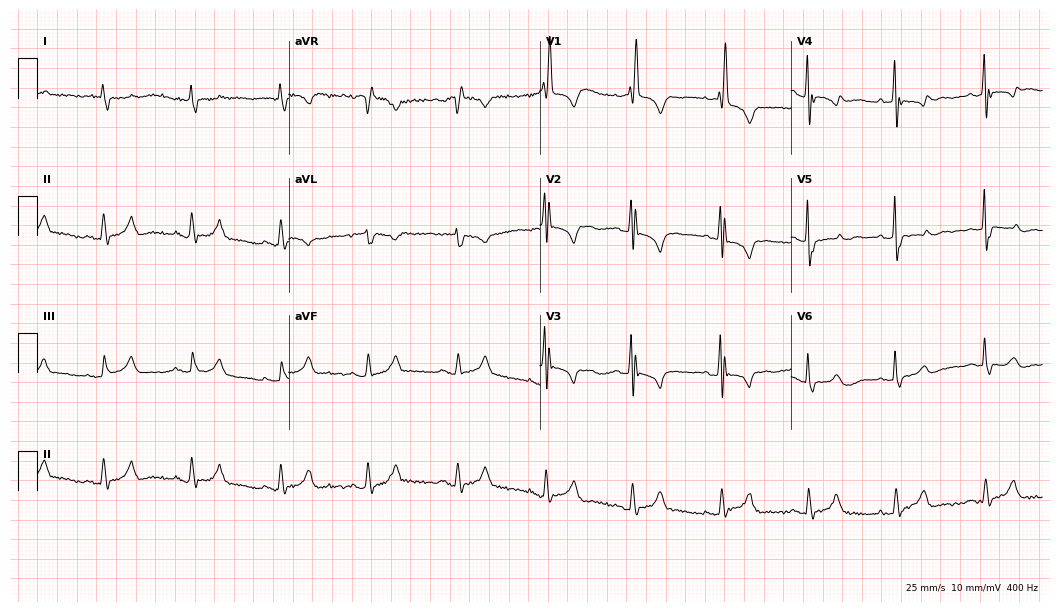
Standard 12-lead ECG recorded from a woman, 78 years old (10.2-second recording at 400 Hz). None of these six findings is recorded: first-degree AV block, right bundle branch block (RBBB), left bundle branch block (LBBB), sinus bradycardia, atrial fibrillation (AF), sinus tachycardia.